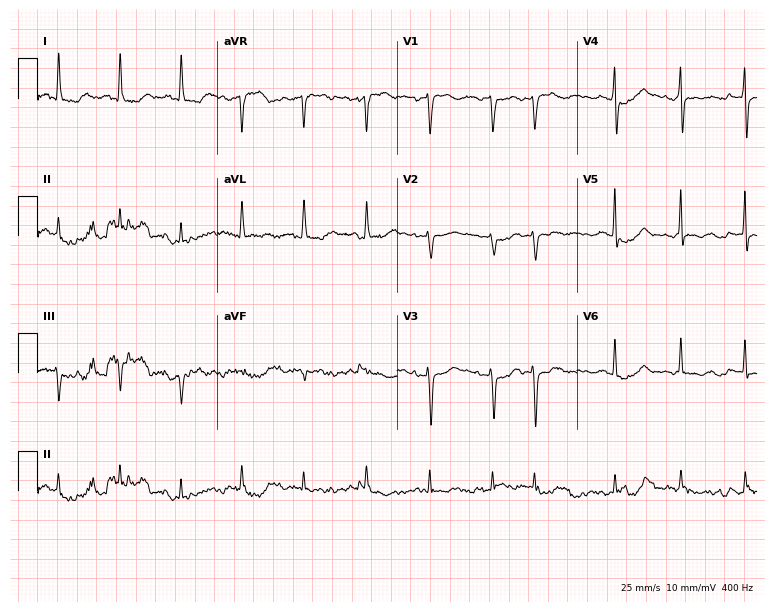
12-lead ECG from a woman, 64 years old. Screened for six findings — first-degree AV block, right bundle branch block, left bundle branch block, sinus bradycardia, atrial fibrillation, sinus tachycardia — none is recorded.